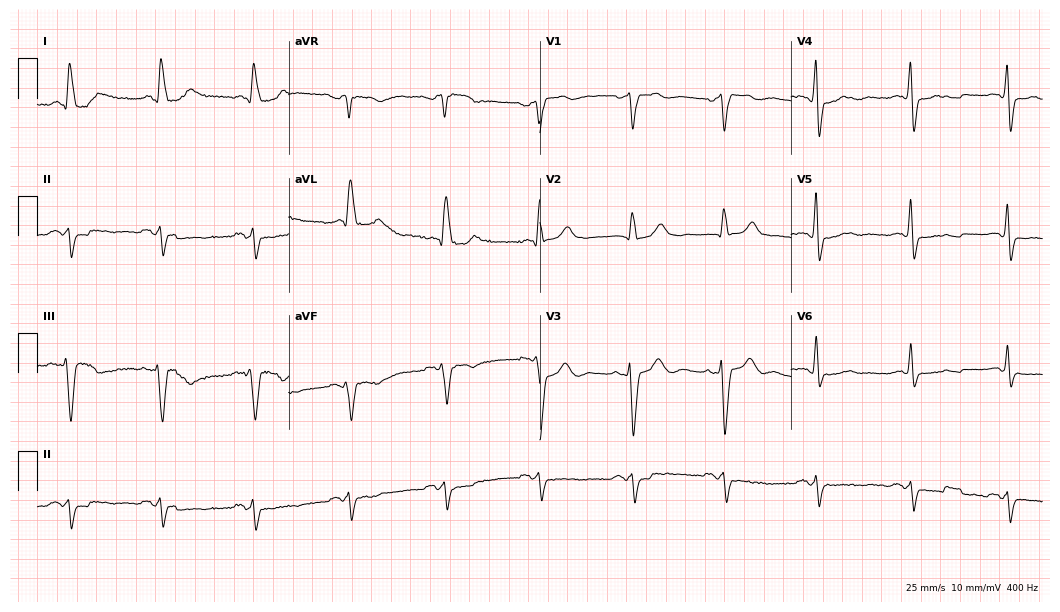
Electrocardiogram, an 86-year-old male. Of the six screened findings (first-degree AV block, right bundle branch block, left bundle branch block, sinus bradycardia, atrial fibrillation, sinus tachycardia), none is recorded.